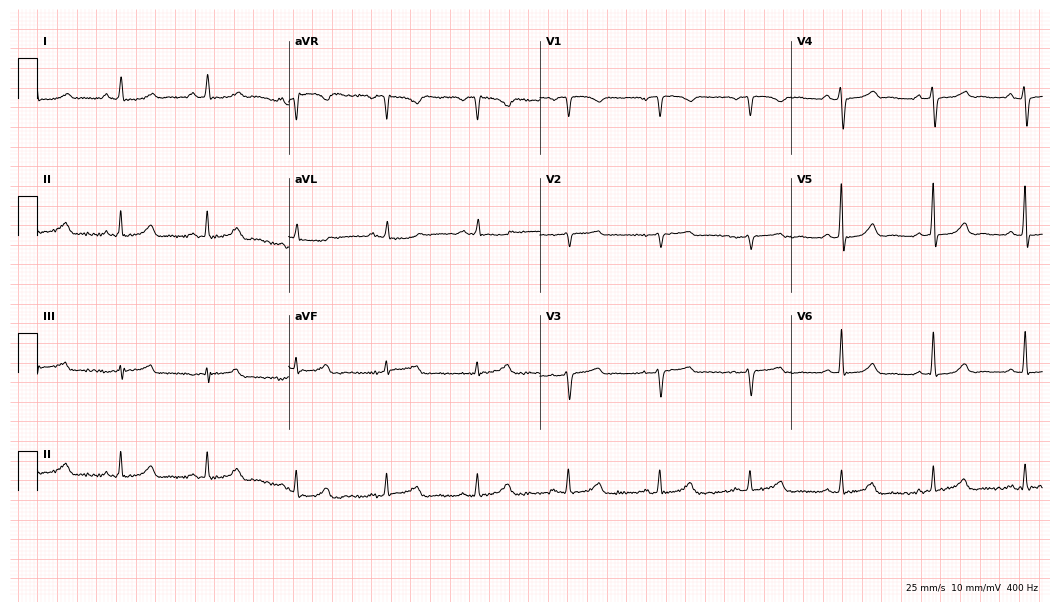
ECG (10.2-second recording at 400 Hz) — a female, 64 years old. Screened for six findings — first-degree AV block, right bundle branch block, left bundle branch block, sinus bradycardia, atrial fibrillation, sinus tachycardia — none is recorded. Only these six findings were labelled.